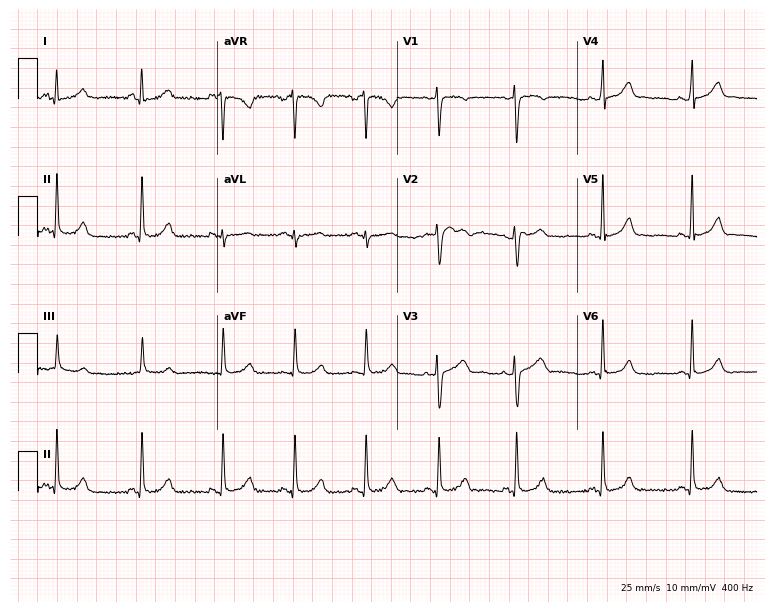
12-lead ECG (7.3-second recording at 400 Hz) from a female, 23 years old. Labelled as a normal ECG.